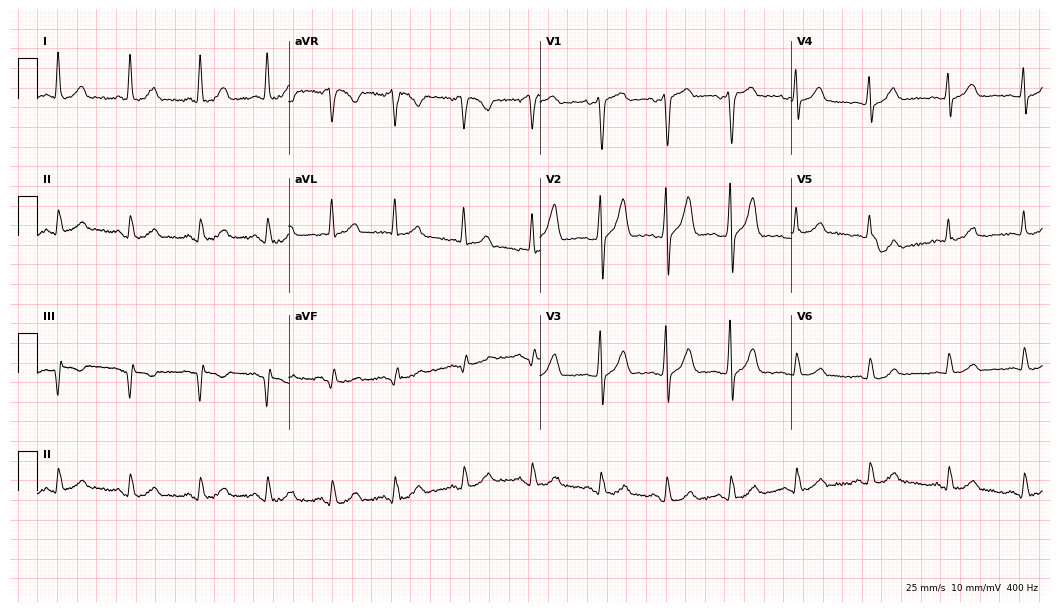
Standard 12-lead ECG recorded from a man, 47 years old. None of these six findings is recorded: first-degree AV block, right bundle branch block, left bundle branch block, sinus bradycardia, atrial fibrillation, sinus tachycardia. Other findings, if any, are not listed.